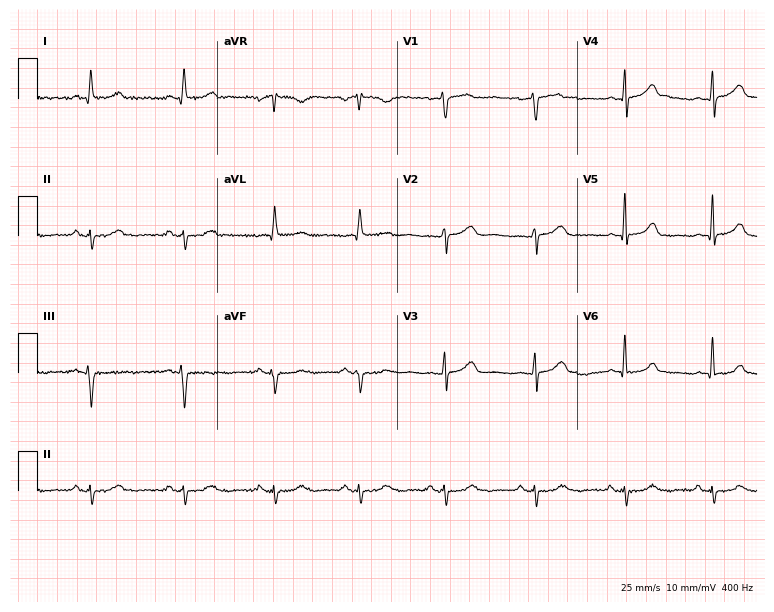
12-lead ECG (7.3-second recording at 400 Hz) from a woman, 47 years old. Screened for six findings — first-degree AV block, right bundle branch block, left bundle branch block, sinus bradycardia, atrial fibrillation, sinus tachycardia — none is recorded.